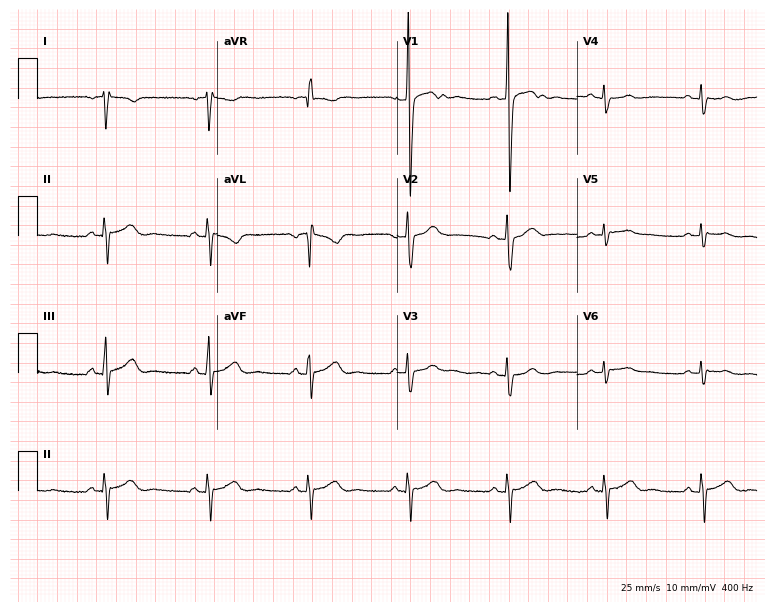
Standard 12-lead ECG recorded from a 35-year-old man. None of these six findings is recorded: first-degree AV block, right bundle branch block, left bundle branch block, sinus bradycardia, atrial fibrillation, sinus tachycardia.